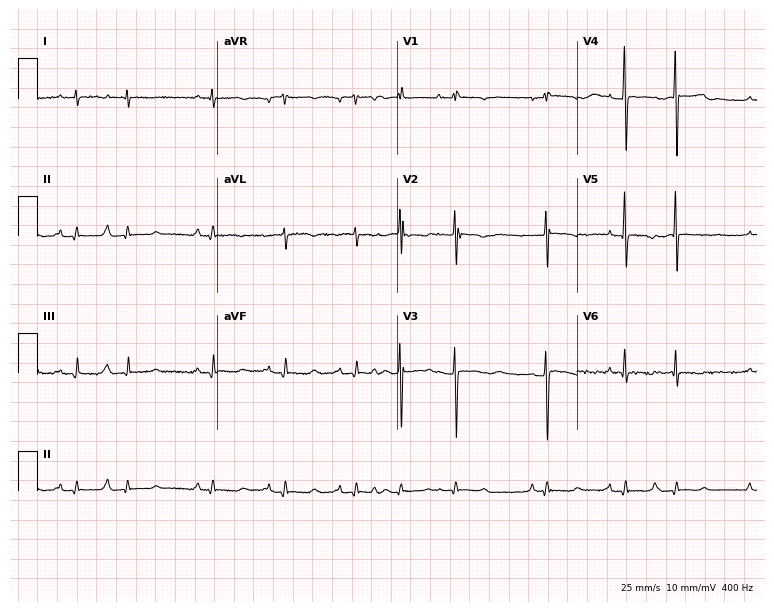
ECG (7.3-second recording at 400 Hz) — a 73-year-old male patient. Screened for six findings — first-degree AV block, right bundle branch block, left bundle branch block, sinus bradycardia, atrial fibrillation, sinus tachycardia — none is recorded. Only these six findings were labelled.